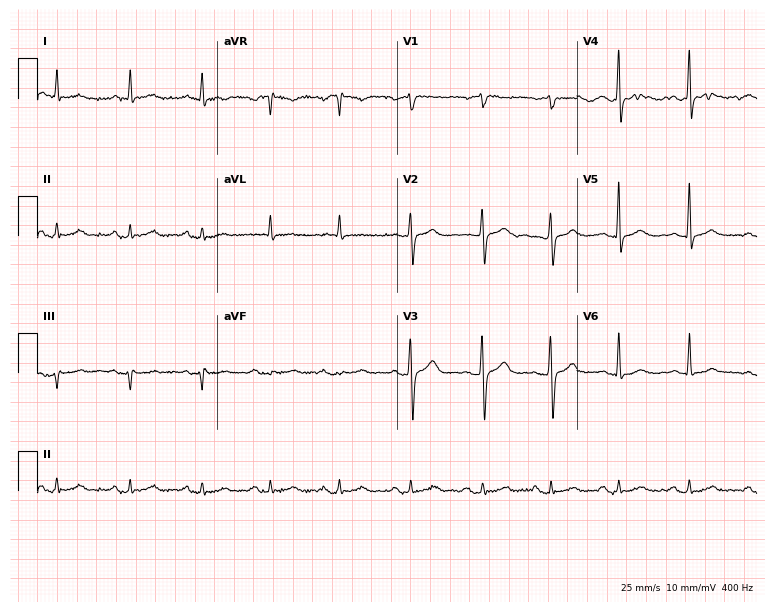
12-lead ECG (7.3-second recording at 400 Hz) from a 64-year-old male patient. Labelled as a normal ECG.